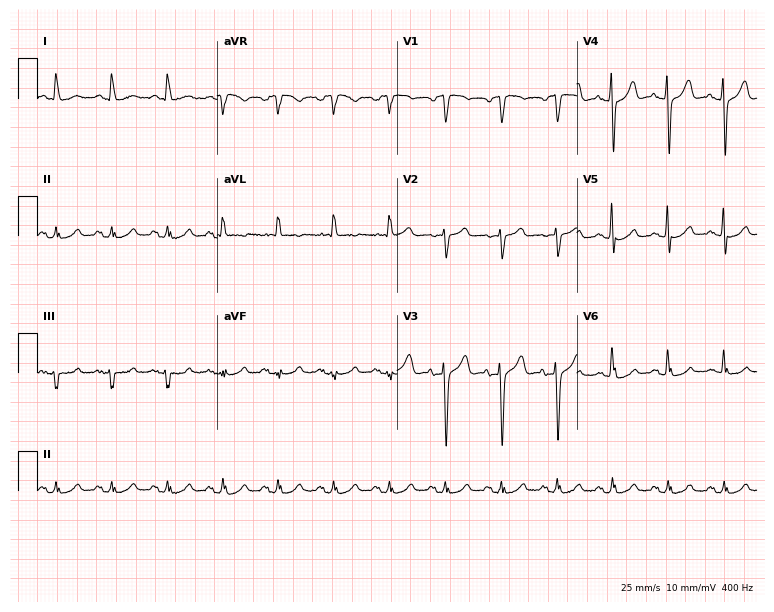
12-lead ECG from a 77-year-old female. Findings include sinus tachycardia (a sinus rate of 100 beats per minute or more).